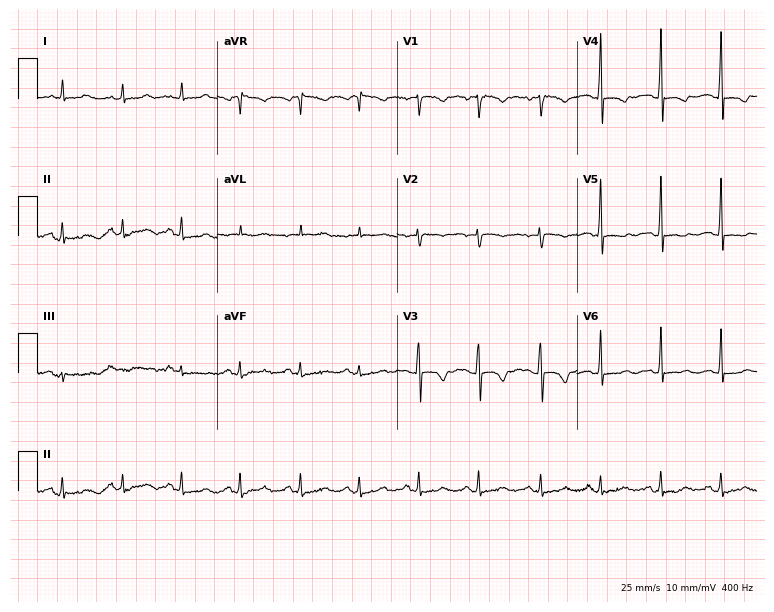
Electrocardiogram, a female patient, 28 years old. Of the six screened findings (first-degree AV block, right bundle branch block, left bundle branch block, sinus bradycardia, atrial fibrillation, sinus tachycardia), none is recorded.